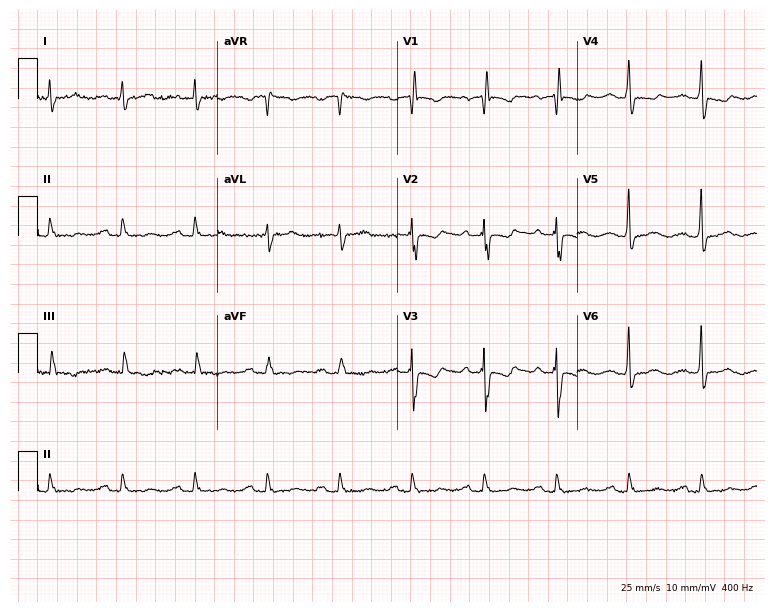
12-lead ECG from a 77-year-old woman (7.3-second recording at 400 Hz). Shows first-degree AV block.